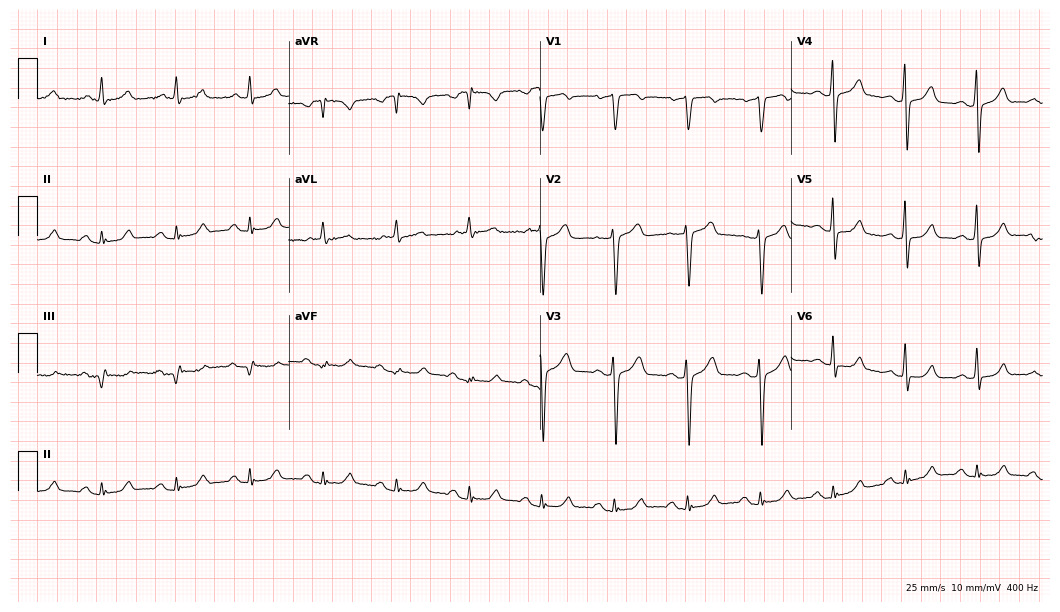
Standard 12-lead ECG recorded from a male patient, 71 years old. Read as a normal ECG.